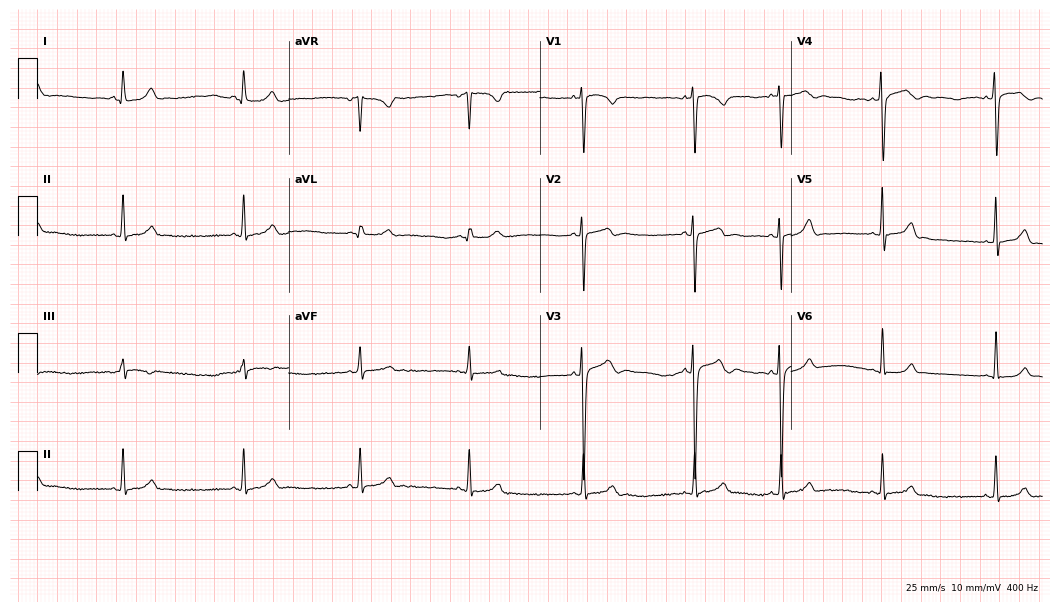
Electrocardiogram (10.2-second recording at 400 Hz), a male patient, 17 years old. Overall reading on record: normal ECG.